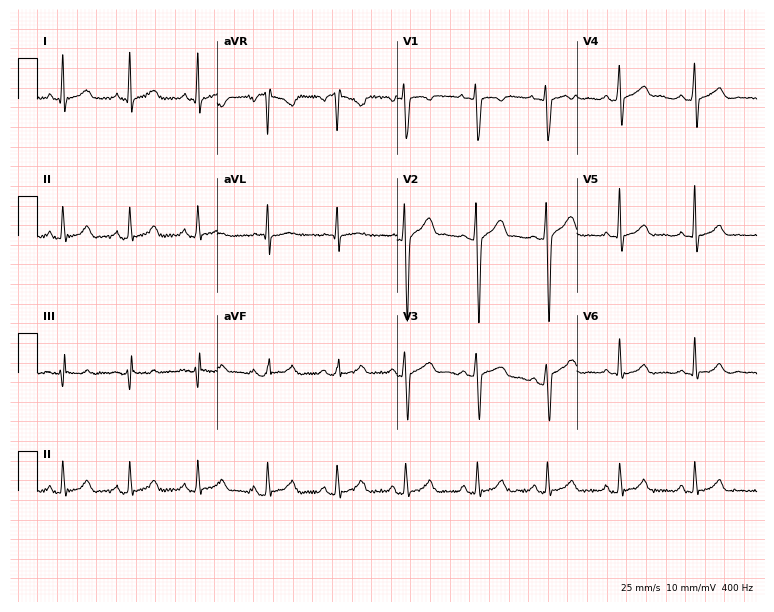
12-lead ECG from a man, 39 years old (7.3-second recording at 400 Hz). Recorded interpretation: within normal limits.